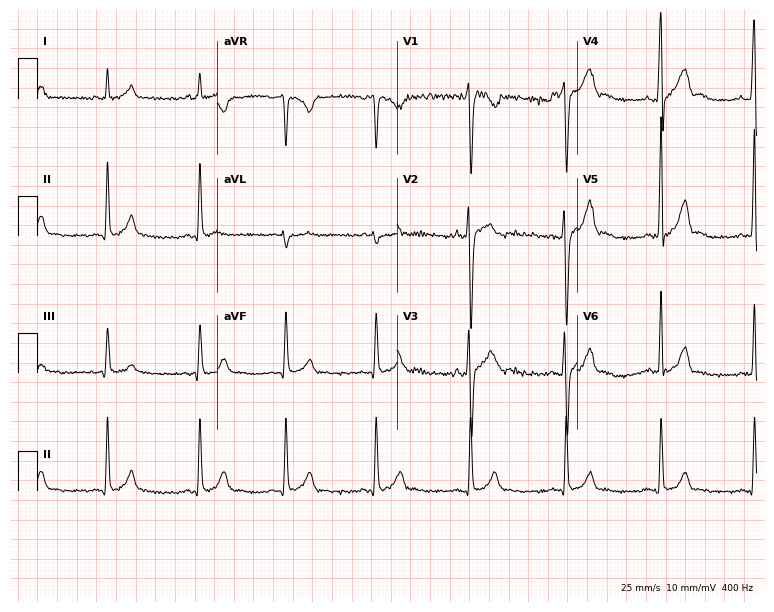
Resting 12-lead electrocardiogram (7.3-second recording at 400 Hz). Patient: a man, 19 years old. Read as a normal ECG.